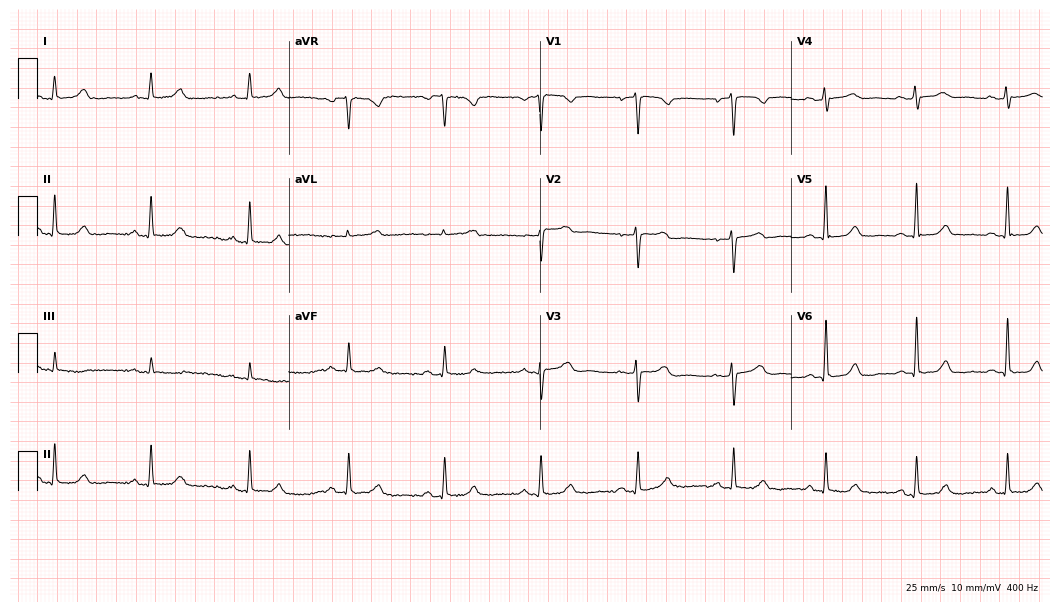
12-lead ECG from a 47-year-old female patient (10.2-second recording at 400 Hz). Recorded interpretation: within normal limits.